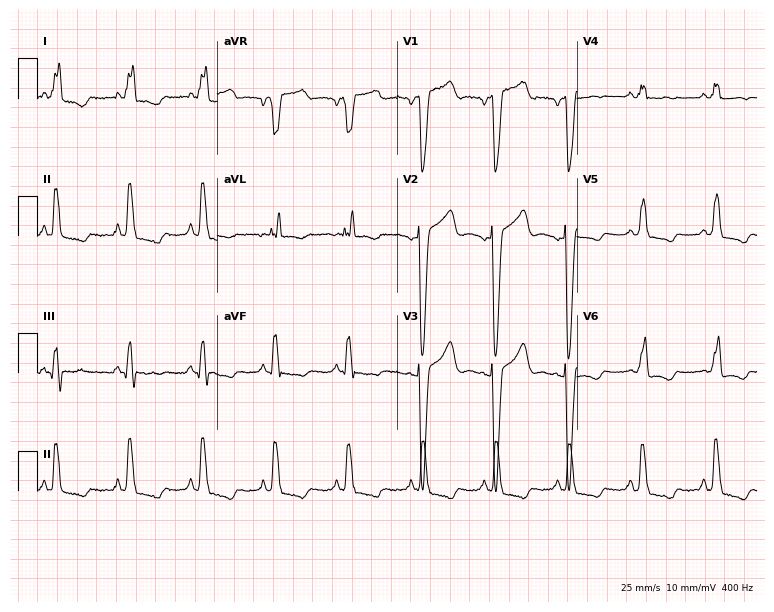
Resting 12-lead electrocardiogram (7.3-second recording at 400 Hz). Patient: an 85-year-old woman. The tracing shows left bundle branch block.